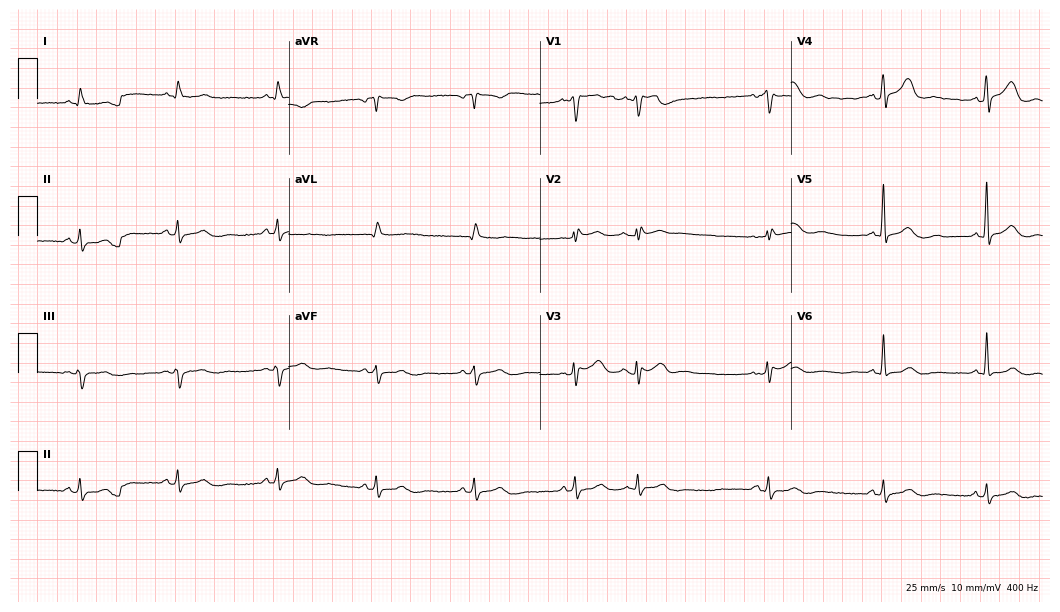
Electrocardiogram (10.2-second recording at 400 Hz), a 67-year-old male. Overall reading on record: normal ECG.